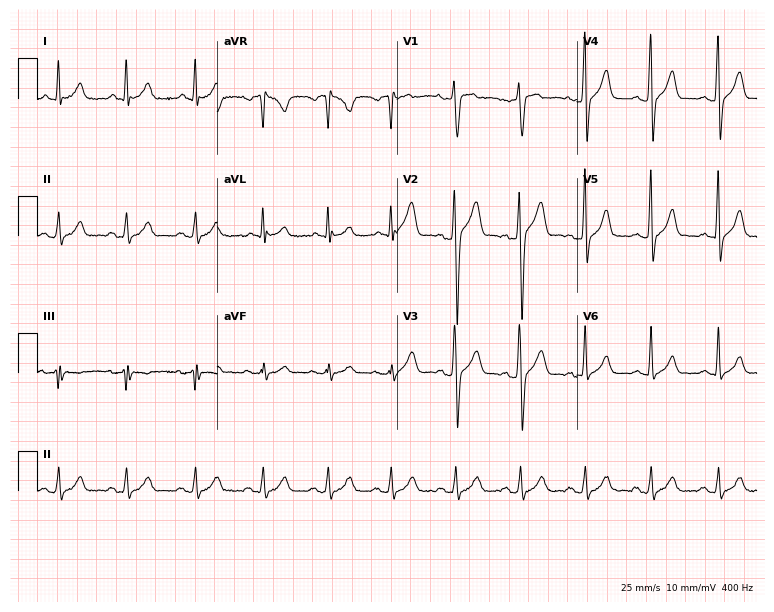
12-lead ECG from a man, 30 years old (7.3-second recording at 400 Hz). Recorded interpretation: within normal limits.